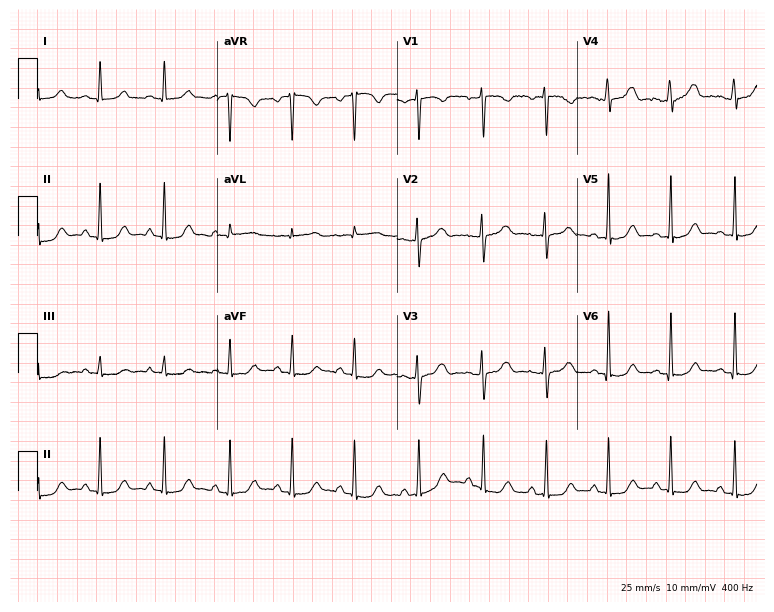
Standard 12-lead ECG recorded from a 38-year-old female. Read as a normal ECG.